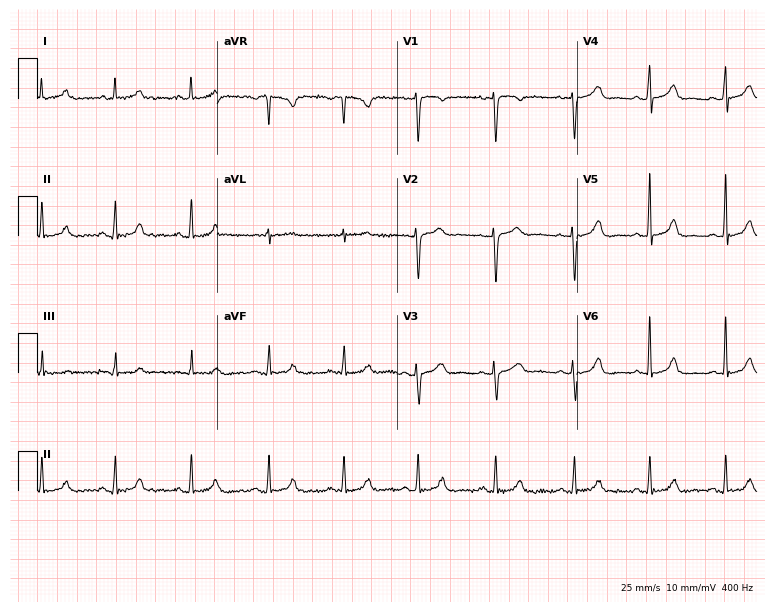
12-lead ECG from a 31-year-old female patient (7.3-second recording at 400 Hz). Recorded interpretation: within normal limits.